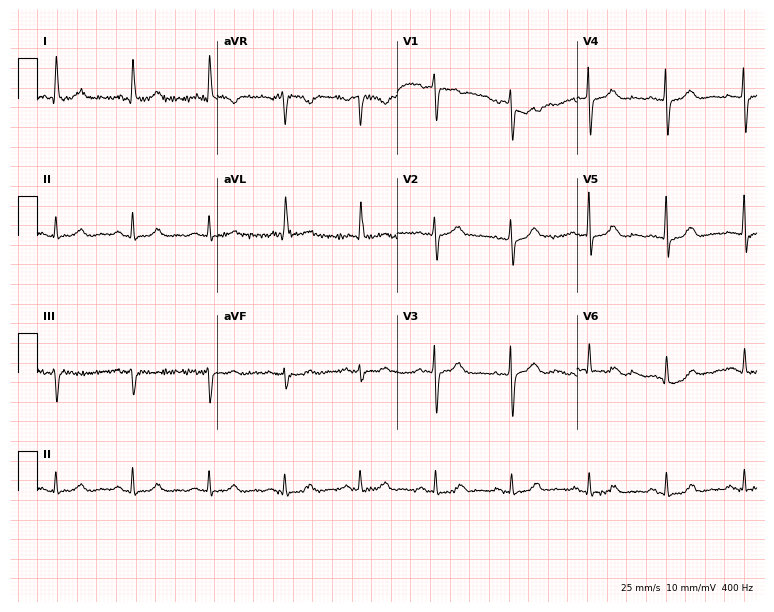
Resting 12-lead electrocardiogram (7.3-second recording at 400 Hz). Patient: a 77-year-old woman. Read as a normal ECG.